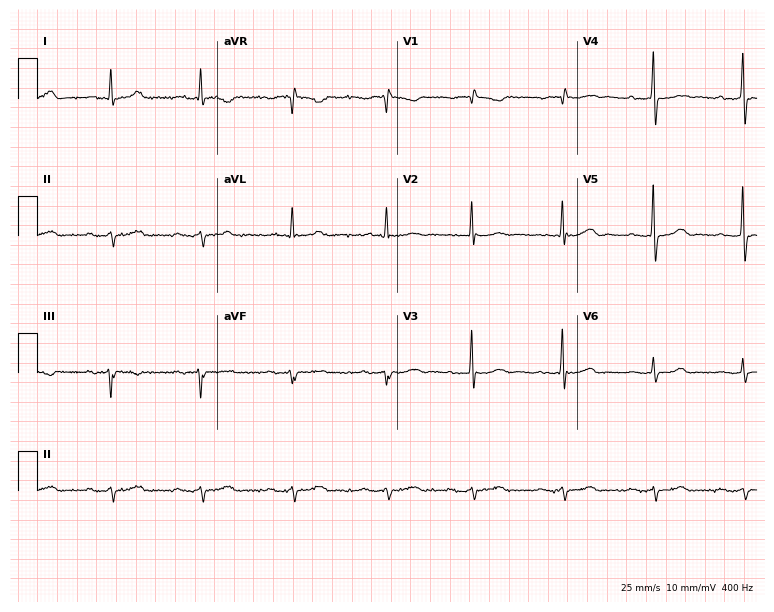
12-lead ECG (7.3-second recording at 400 Hz) from a woman, 76 years old. Screened for six findings — first-degree AV block, right bundle branch block, left bundle branch block, sinus bradycardia, atrial fibrillation, sinus tachycardia — none is recorded. Findings outside these six are not listed.